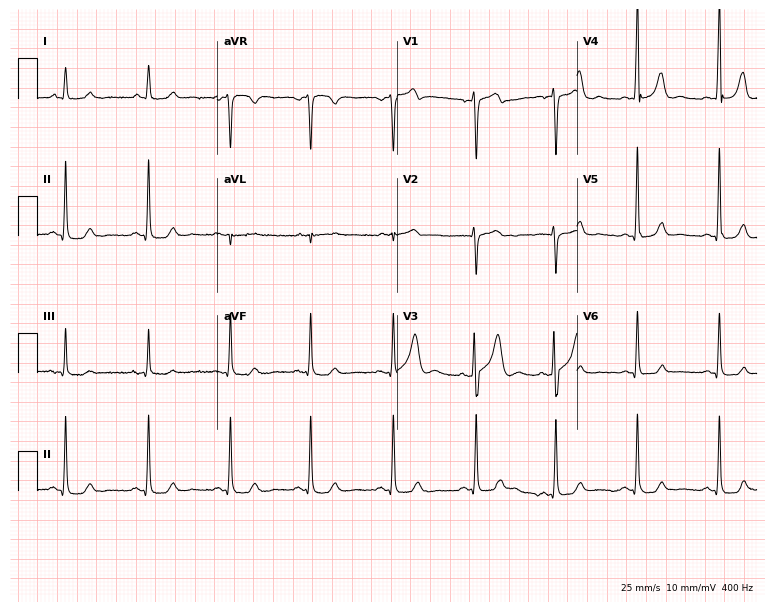
Electrocardiogram (7.3-second recording at 400 Hz), a 56-year-old male. Overall reading on record: normal ECG.